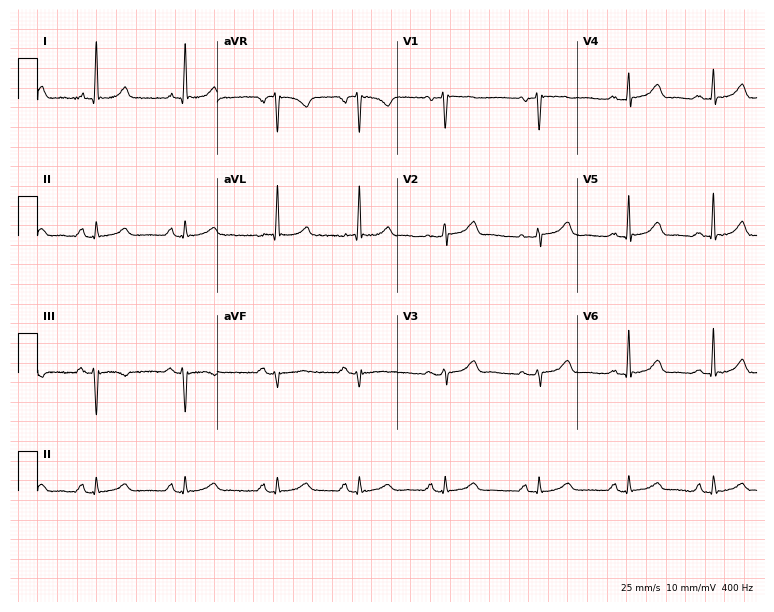
Electrocardiogram (7.3-second recording at 400 Hz), a 55-year-old female. Of the six screened findings (first-degree AV block, right bundle branch block, left bundle branch block, sinus bradycardia, atrial fibrillation, sinus tachycardia), none is recorded.